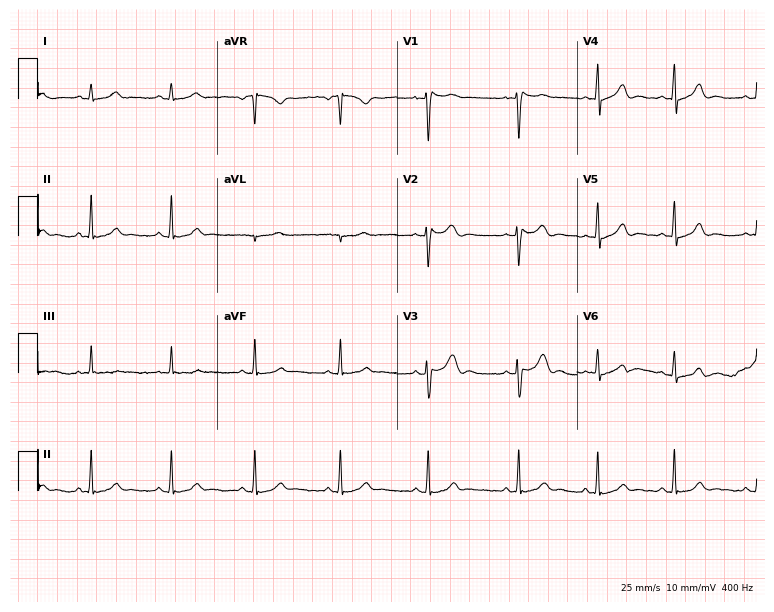
Electrocardiogram (7.3-second recording at 400 Hz), a 19-year-old woman. Of the six screened findings (first-degree AV block, right bundle branch block, left bundle branch block, sinus bradycardia, atrial fibrillation, sinus tachycardia), none is recorded.